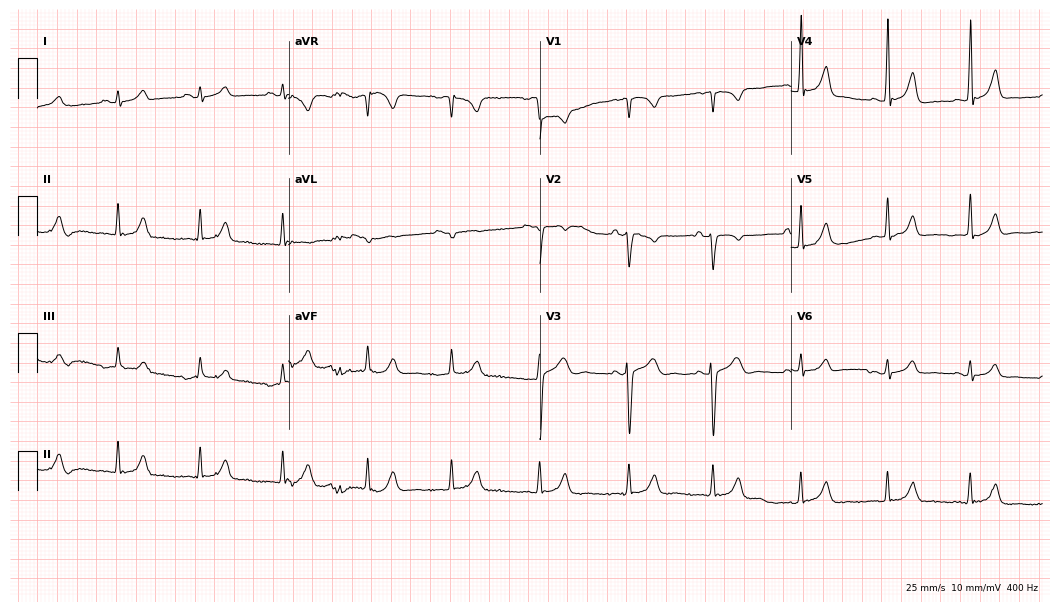
Resting 12-lead electrocardiogram. Patient: a 28-year-old woman. None of these six findings is recorded: first-degree AV block, right bundle branch block, left bundle branch block, sinus bradycardia, atrial fibrillation, sinus tachycardia. Other findings, if any, are not listed.